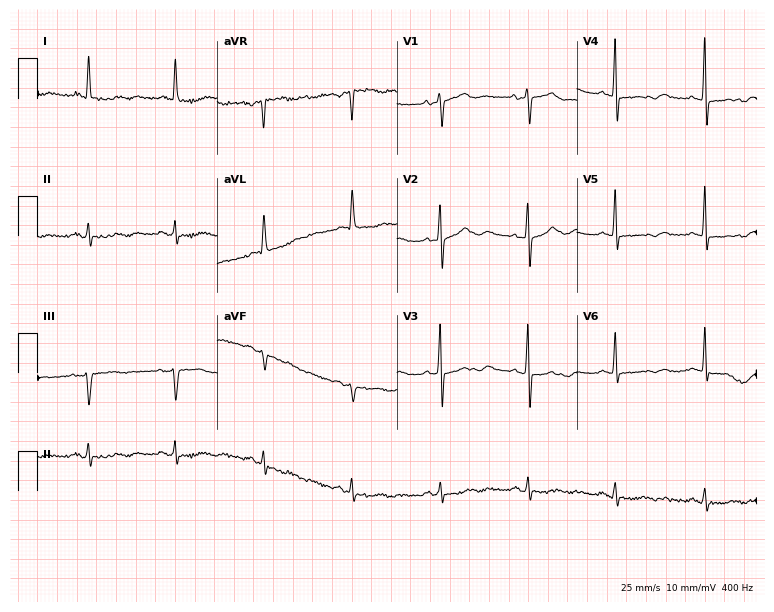
Resting 12-lead electrocardiogram. Patient: a woman, 64 years old. None of these six findings is recorded: first-degree AV block, right bundle branch block, left bundle branch block, sinus bradycardia, atrial fibrillation, sinus tachycardia. Only these six findings were labelled.